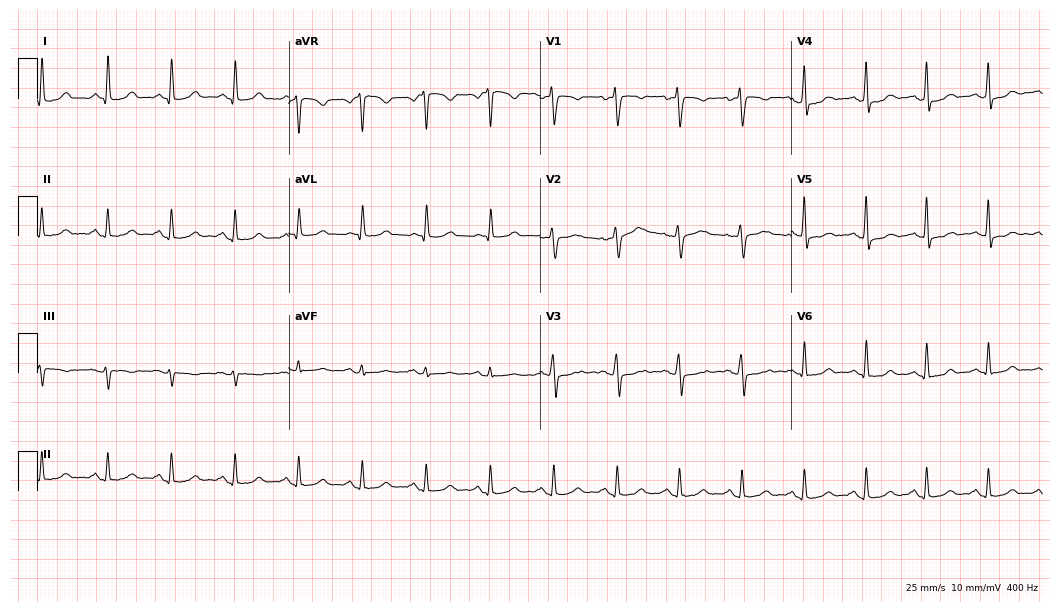
Resting 12-lead electrocardiogram. Patient: a 44-year-old woman. Read as a normal ECG.